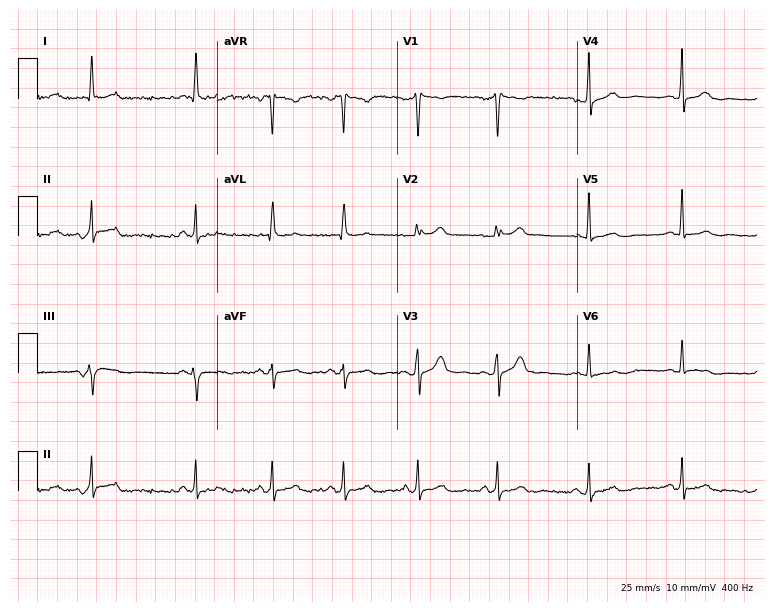
12-lead ECG from a woman, 42 years old. No first-degree AV block, right bundle branch block, left bundle branch block, sinus bradycardia, atrial fibrillation or sinus tachycardia recorded for this tracing. Other findings, if any, are not listed.